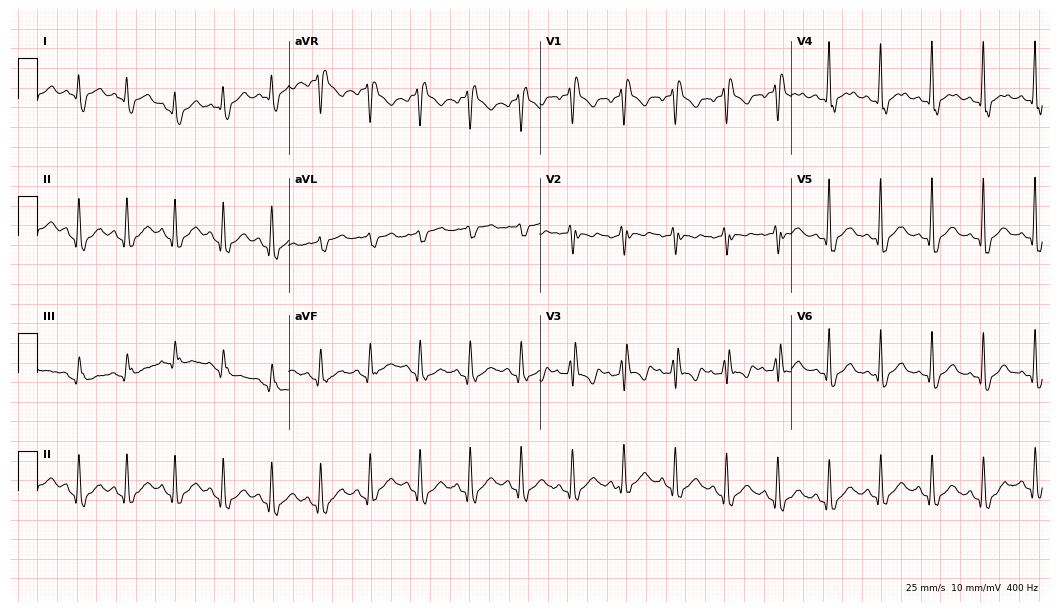
Electrocardiogram (10.2-second recording at 400 Hz), a 46-year-old man. Interpretation includes right bundle branch block.